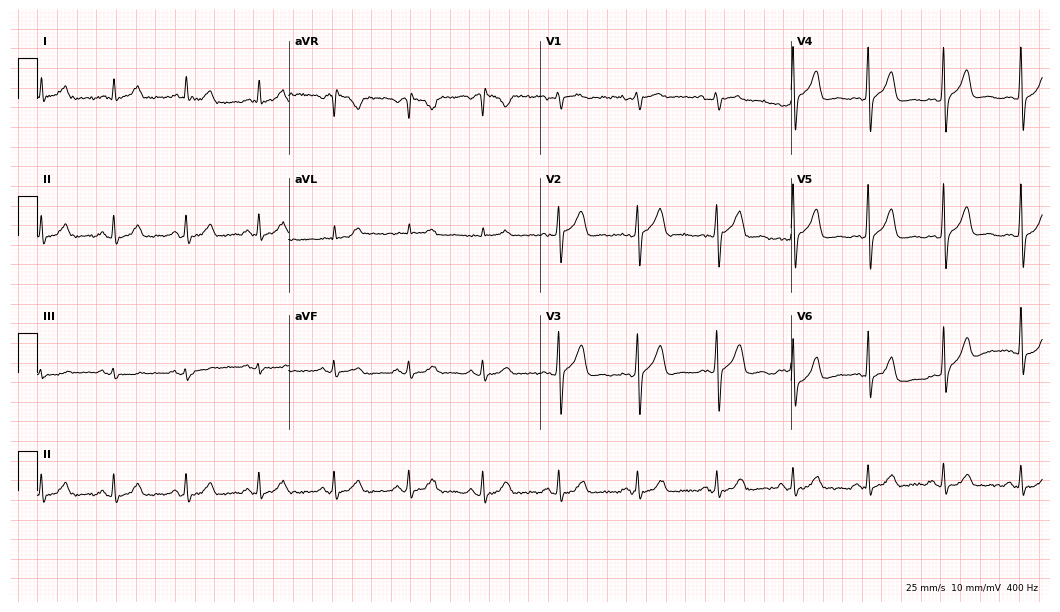
12-lead ECG from a male, 52 years old. Recorded interpretation: within normal limits.